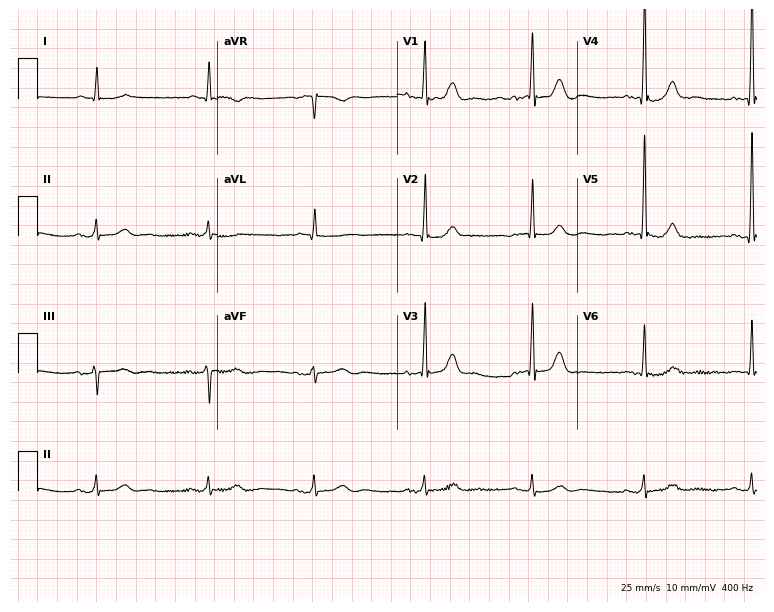
Standard 12-lead ECG recorded from a male, 78 years old. Read as a normal ECG.